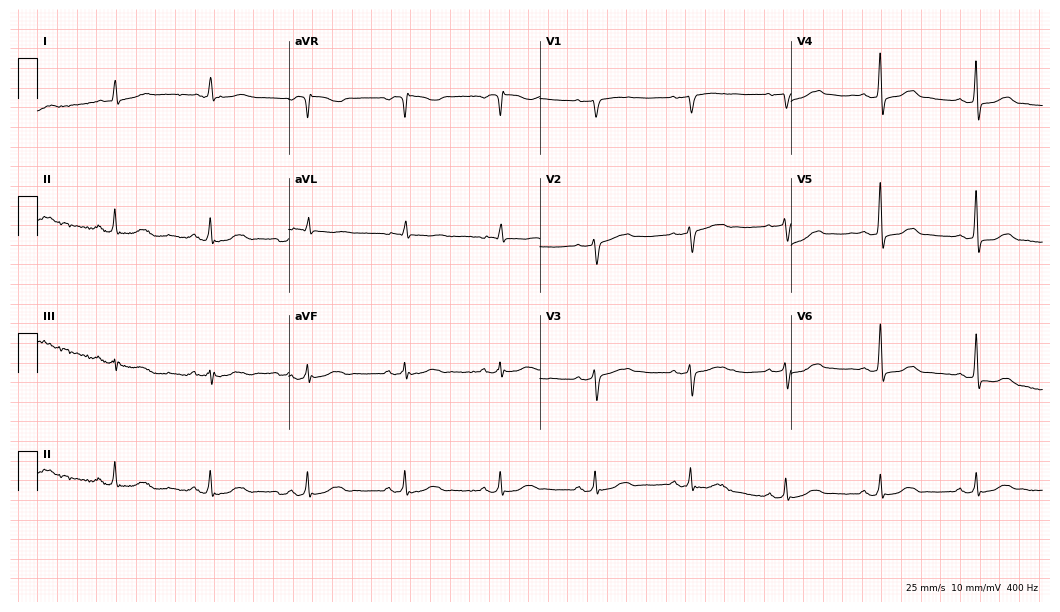
Standard 12-lead ECG recorded from a 75-year-old male patient (10.2-second recording at 400 Hz). None of these six findings is recorded: first-degree AV block, right bundle branch block (RBBB), left bundle branch block (LBBB), sinus bradycardia, atrial fibrillation (AF), sinus tachycardia.